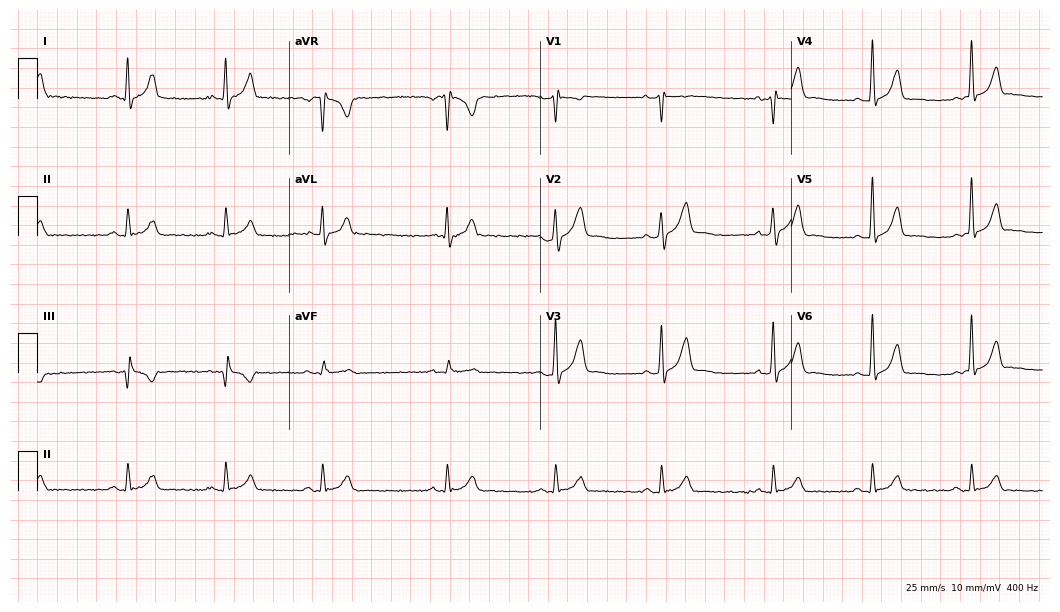
Electrocardiogram (10.2-second recording at 400 Hz), a male, 30 years old. Overall reading on record: normal ECG.